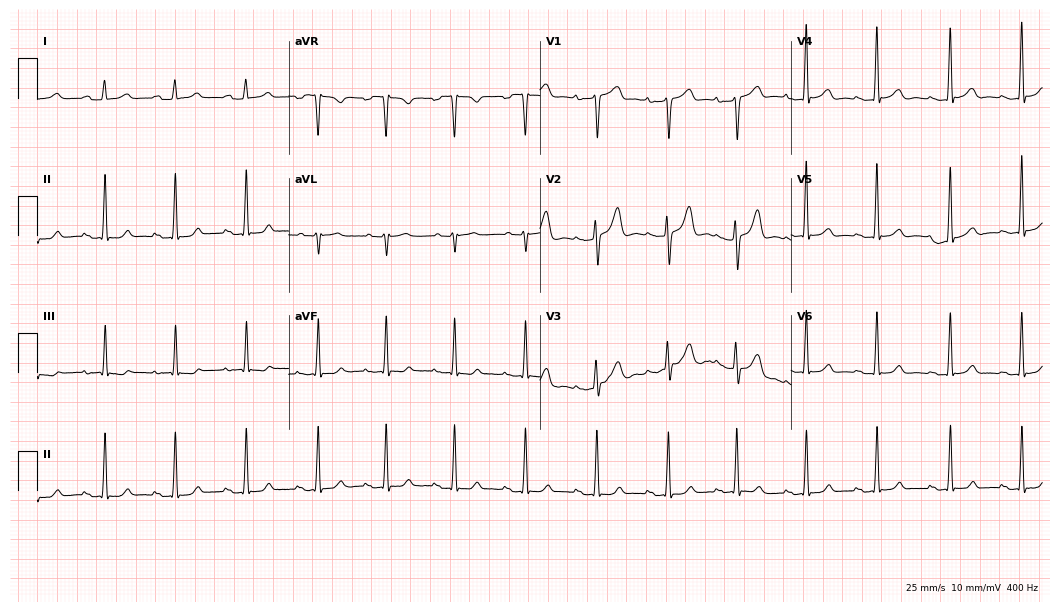
ECG — a 31-year-old female patient. Labelled as a normal ECG.